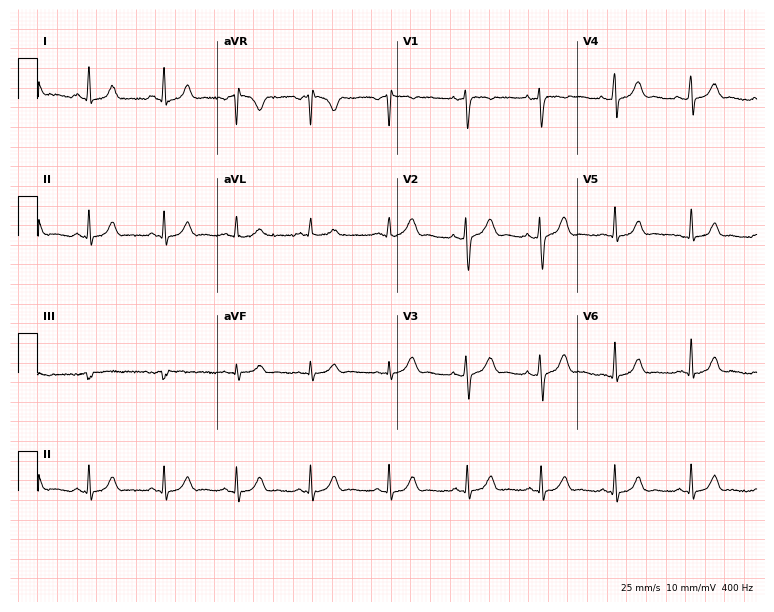
12-lead ECG (7.3-second recording at 400 Hz) from a 24-year-old female. Labelled as a normal ECG.